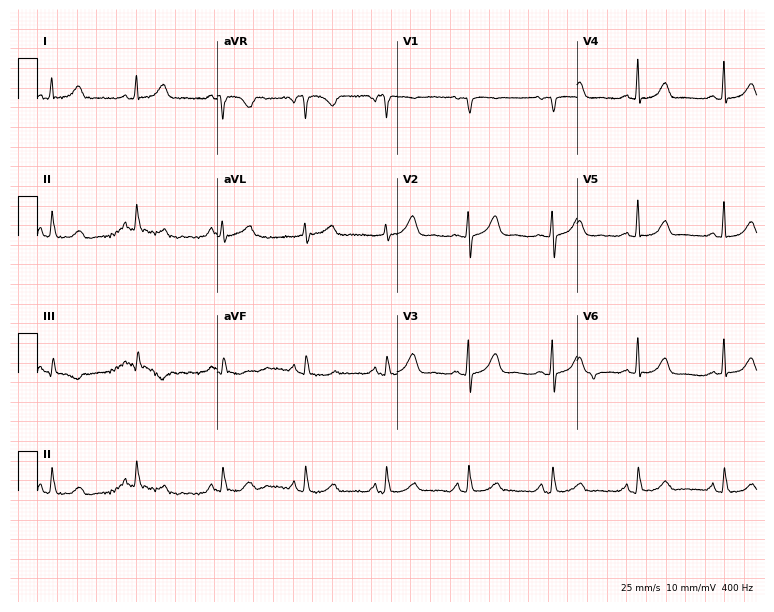
12-lead ECG from a 52-year-old female patient. Labelled as a normal ECG.